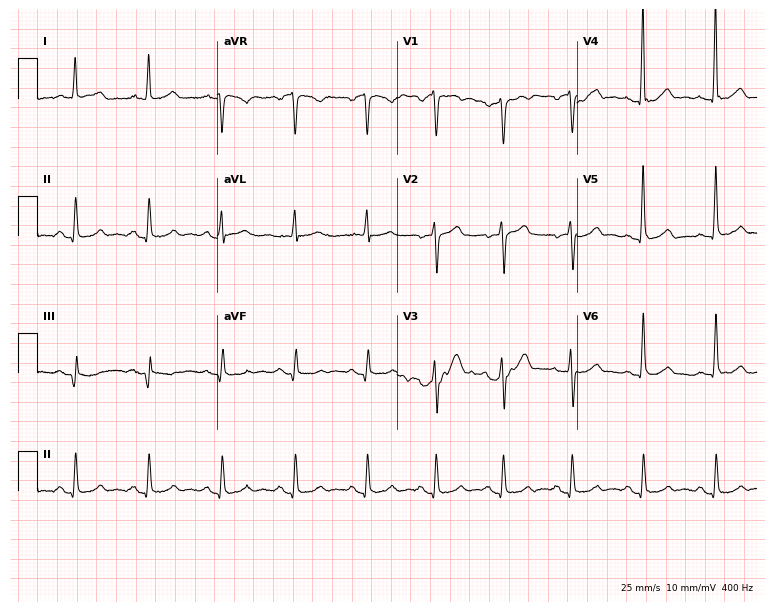
Standard 12-lead ECG recorded from a male patient, 50 years old. None of these six findings is recorded: first-degree AV block, right bundle branch block, left bundle branch block, sinus bradycardia, atrial fibrillation, sinus tachycardia. Other findings, if any, are not listed.